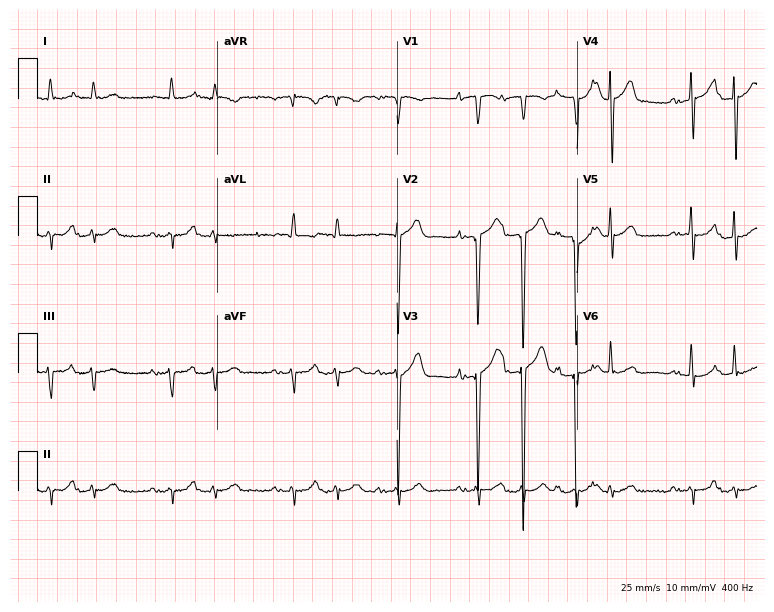
Resting 12-lead electrocardiogram (7.3-second recording at 400 Hz). Patient: a 78-year-old male. None of these six findings is recorded: first-degree AV block, right bundle branch block (RBBB), left bundle branch block (LBBB), sinus bradycardia, atrial fibrillation (AF), sinus tachycardia.